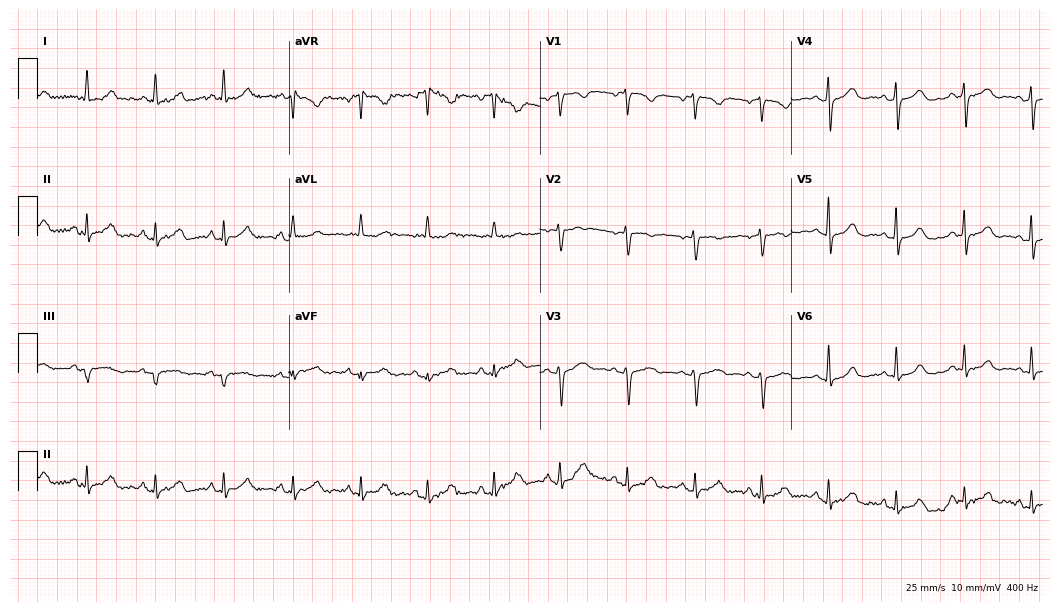
Resting 12-lead electrocardiogram (10.2-second recording at 400 Hz). Patient: a 58-year-old female. None of these six findings is recorded: first-degree AV block, right bundle branch block (RBBB), left bundle branch block (LBBB), sinus bradycardia, atrial fibrillation (AF), sinus tachycardia. Findings outside these six are not listed.